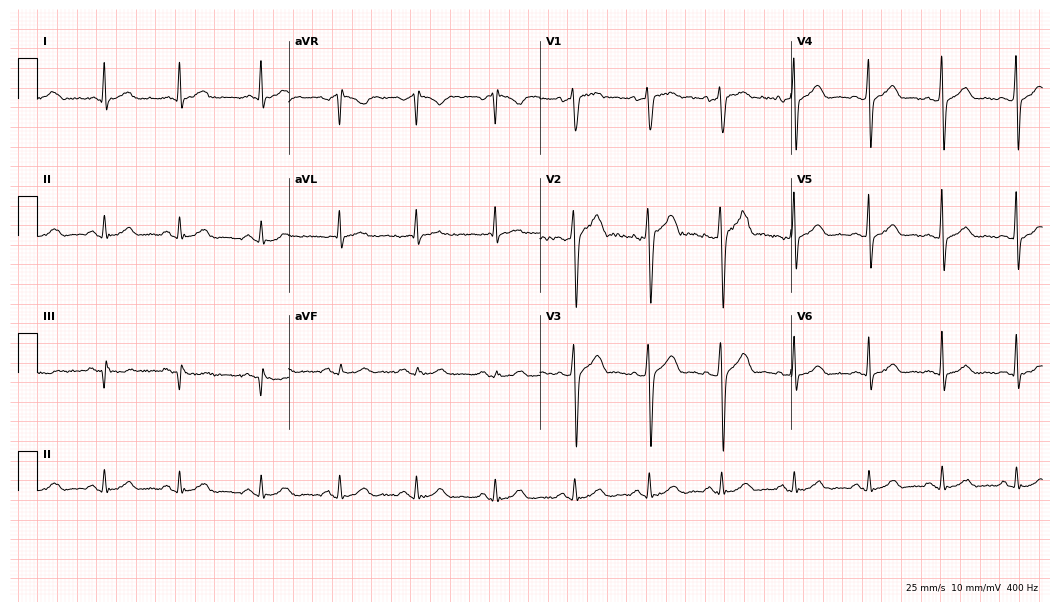
Standard 12-lead ECG recorded from a 40-year-old man (10.2-second recording at 400 Hz). None of these six findings is recorded: first-degree AV block, right bundle branch block (RBBB), left bundle branch block (LBBB), sinus bradycardia, atrial fibrillation (AF), sinus tachycardia. Only these six findings were labelled.